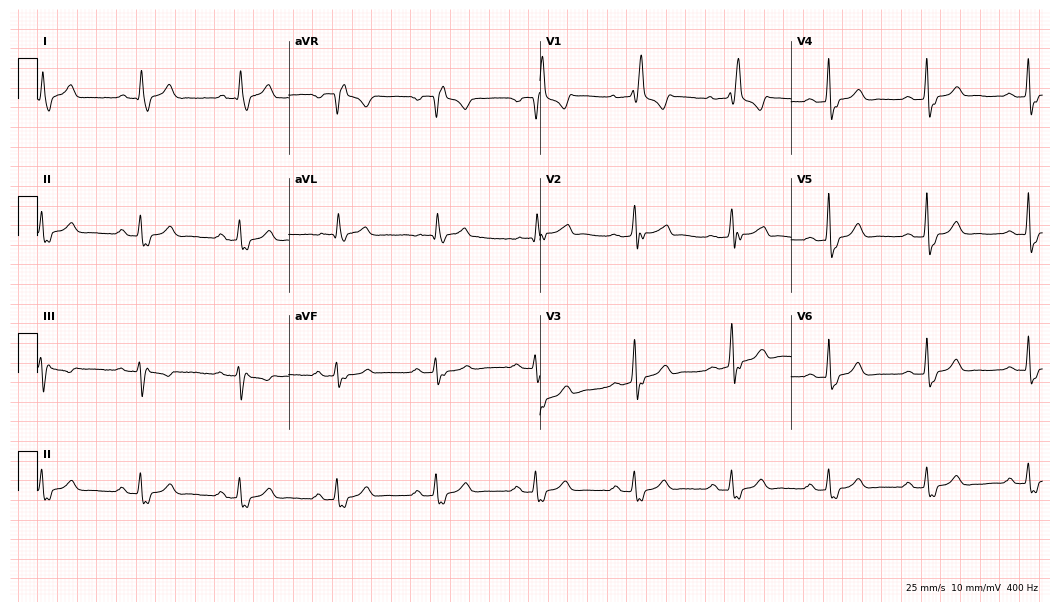
12-lead ECG from a male patient, 57 years old. Shows right bundle branch block (RBBB).